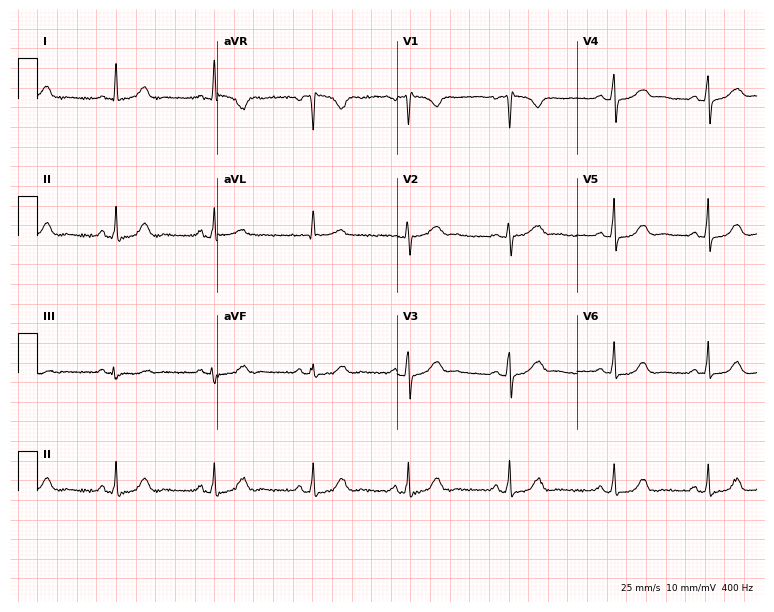
ECG — a 44-year-old woman. Screened for six findings — first-degree AV block, right bundle branch block, left bundle branch block, sinus bradycardia, atrial fibrillation, sinus tachycardia — none is recorded. Findings outside these six are not listed.